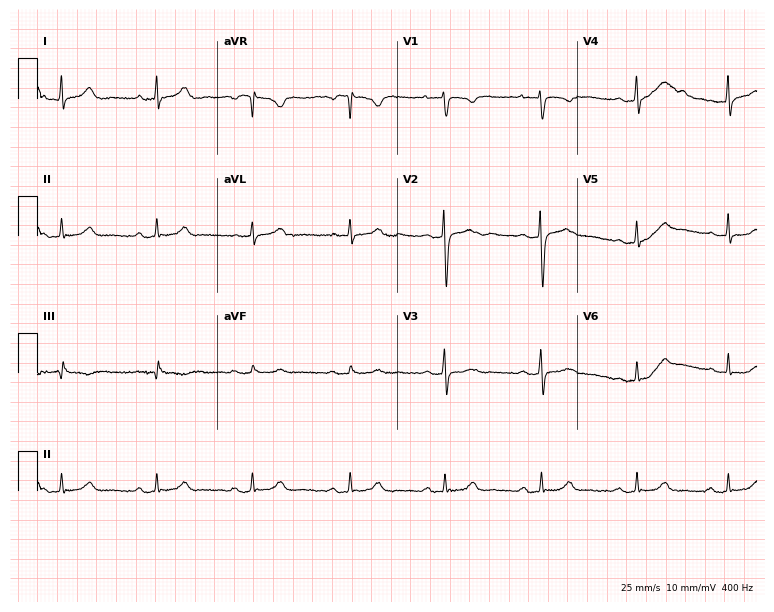
12-lead ECG from a 23-year-old female. Labelled as a normal ECG.